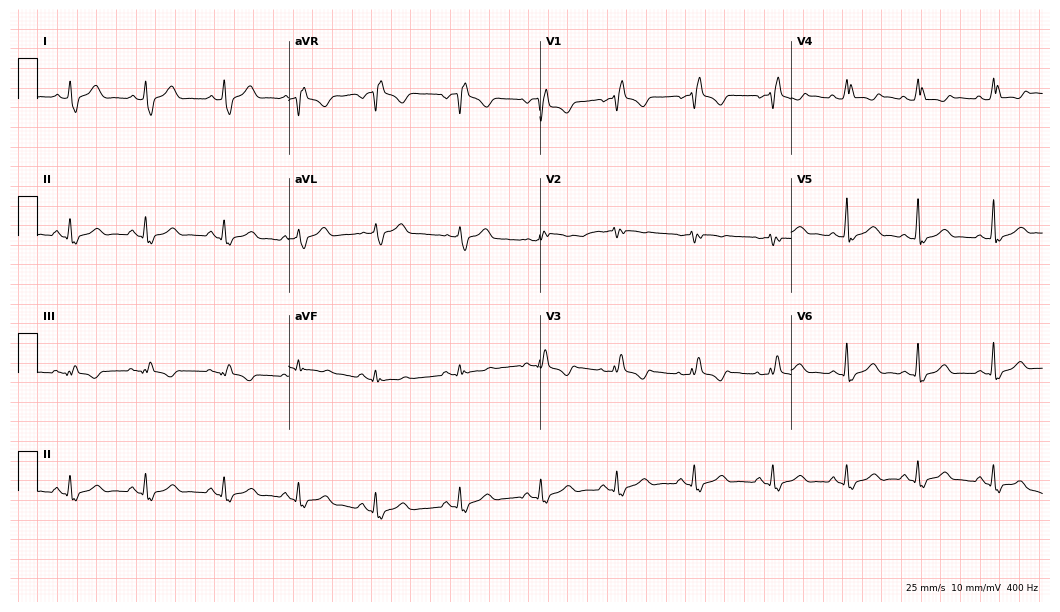
ECG (10.2-second recording at 400 Hz) — a 37-year-old female. Screened for six findings — first-degree AV block, right bundle branch block, left bundle branch block, sinus bradycardia, atrial fibrillation, sinus tachycardia — none is recorded. Findings outside these six are not listed.